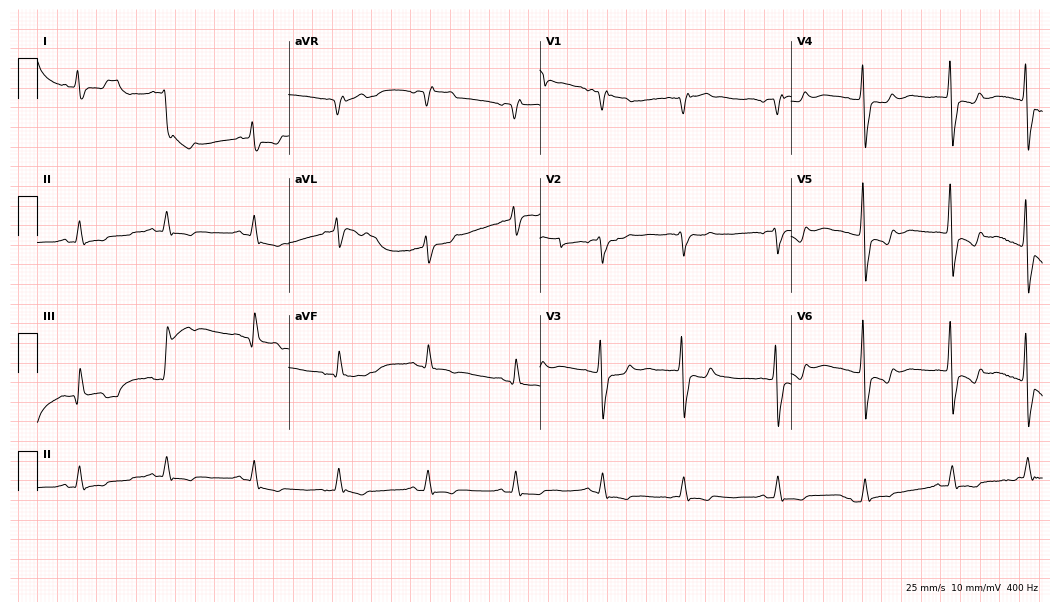
12-lead ECG from an 82-year-old man. No first-degree AV block, right bundle branch block, left bundle branch block, sinus bradycardia, atrial fibrillation or sinus tachycardia recorded for this tracing.